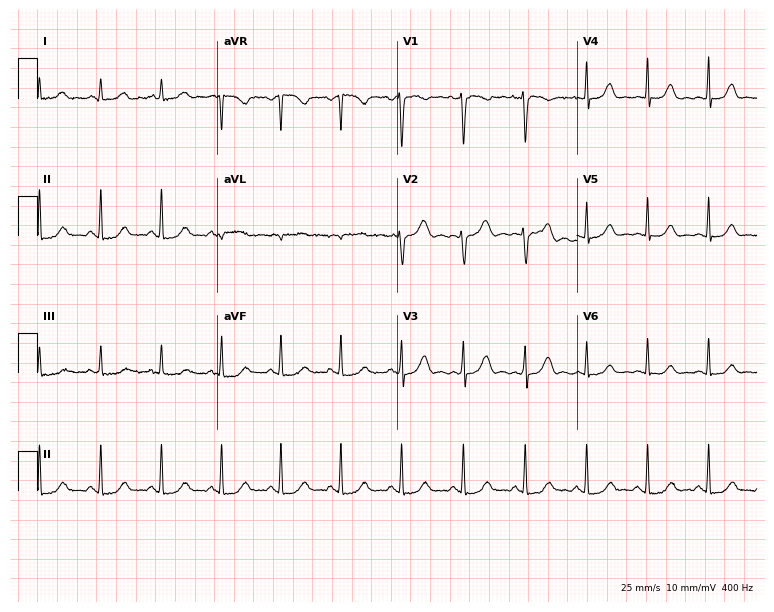
12-lead ECG from a 29-year-old female. No first-degree AV block, right bundle branch block (RBBB), left bundle branch block (LBBB), sinus bradycardia, atrial fibrillation (AF) or sinus tachycardia recorded for this tracing.